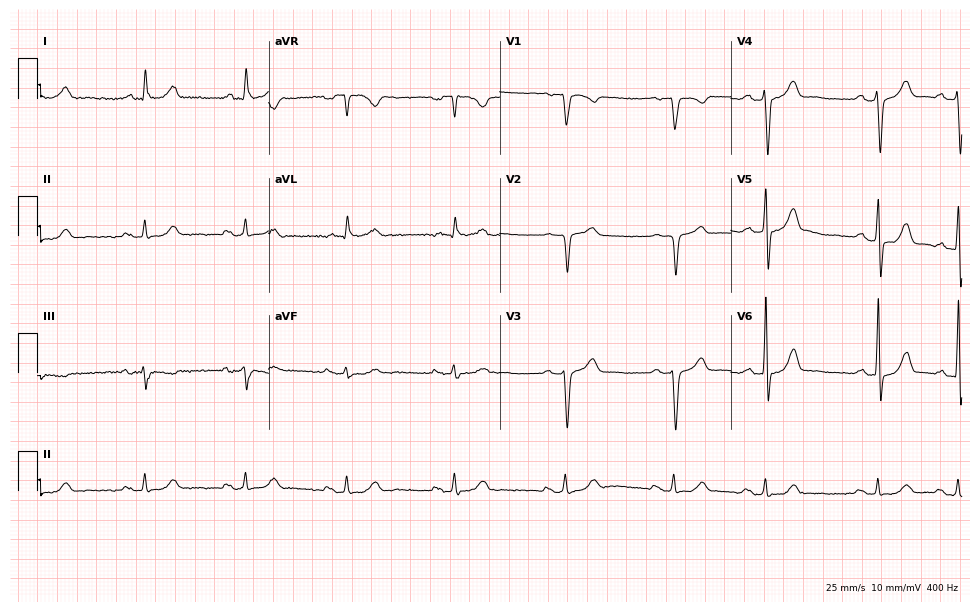
12-lead ECG from an 81-year-old male. Screened for six findings — first-degree AV block, right bundle branch block, left bundle branch block, sinus bradycardia, atrial fibrillation, sinus tachycardia — none is recorded. Findings outside these six are not listed.